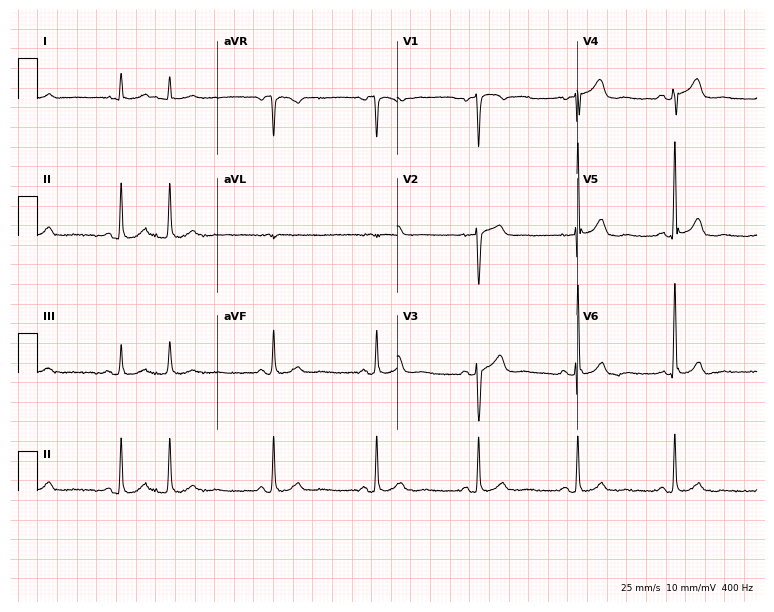
12-lead ECG from a 74-year-old male patient. Screened for six findings — first-degree AV block, right bundle branch block, left bundle branch block, sinus bradycardia, atrial fibrillation, sinus tachycardia — none is recorded. Only these six findings were labelled.